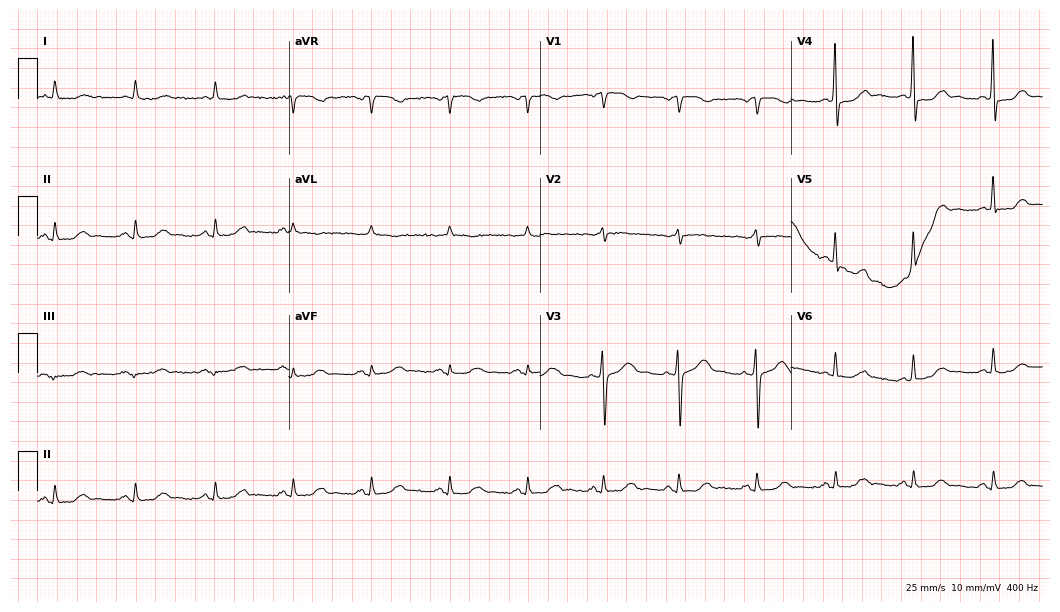
Resting 12-lead electrocardiogram. Patient: a 58-year-old woman. Read as a normal ECG.